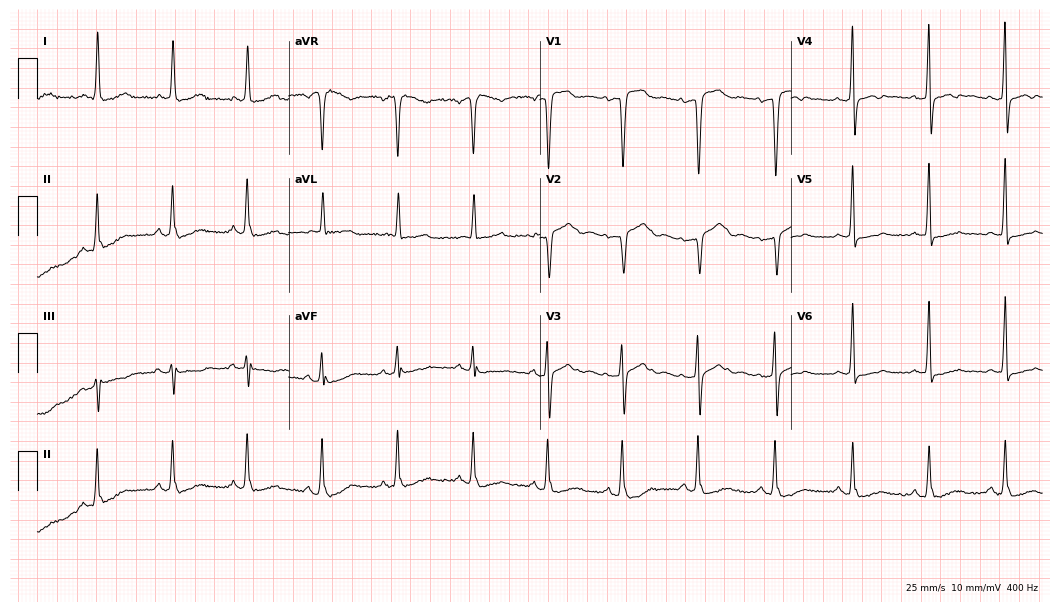
Resting 12-lead electrocardiogram. Patient: a female, 64 years old. None of these six findings is recorded: first-degree AV block, right bundle branch block (RBBB), left bundle branch block (LBBB), sinus bradycardia, atrial fibrillation (AF), sinus tachycardia.